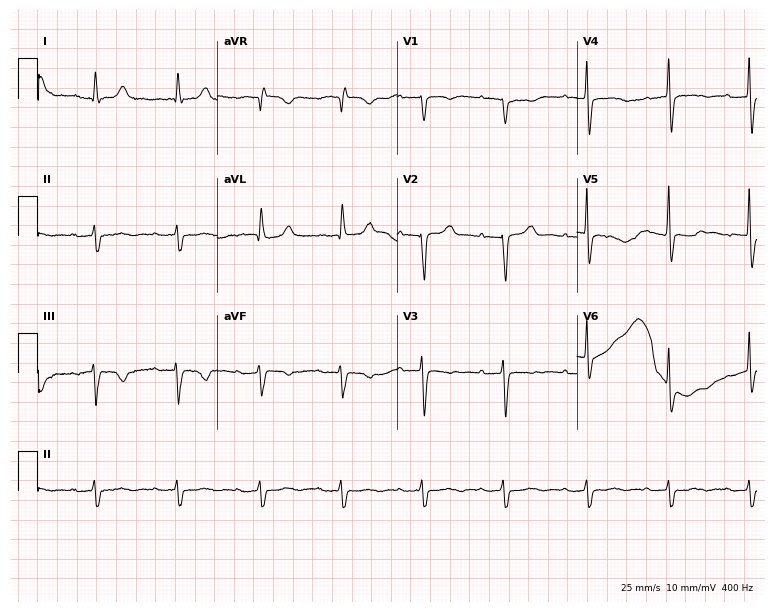
ECG — a female, 85 years old. Findings include first-degree AV block.